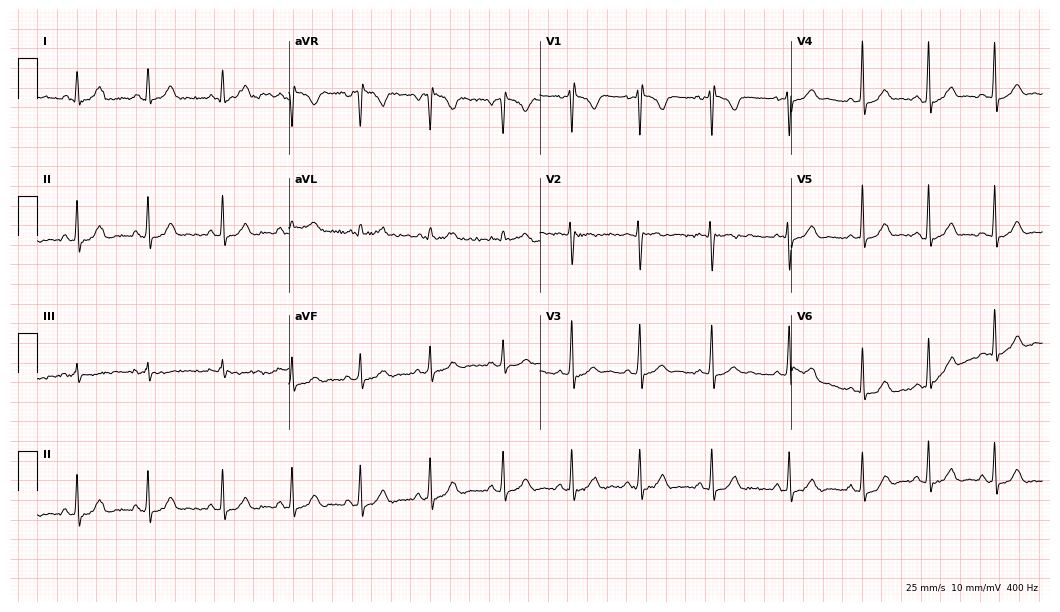
ECG (10.2-second recording at 400 Hz) — a female patient, 25 years old. Screened for six findings — first-degree AV block, right bundle branch block, left bundle branch block, sinus bradycardia, atrial fibrillation, sinus tachycardia — none is recorded. Only these six findings were labelled.